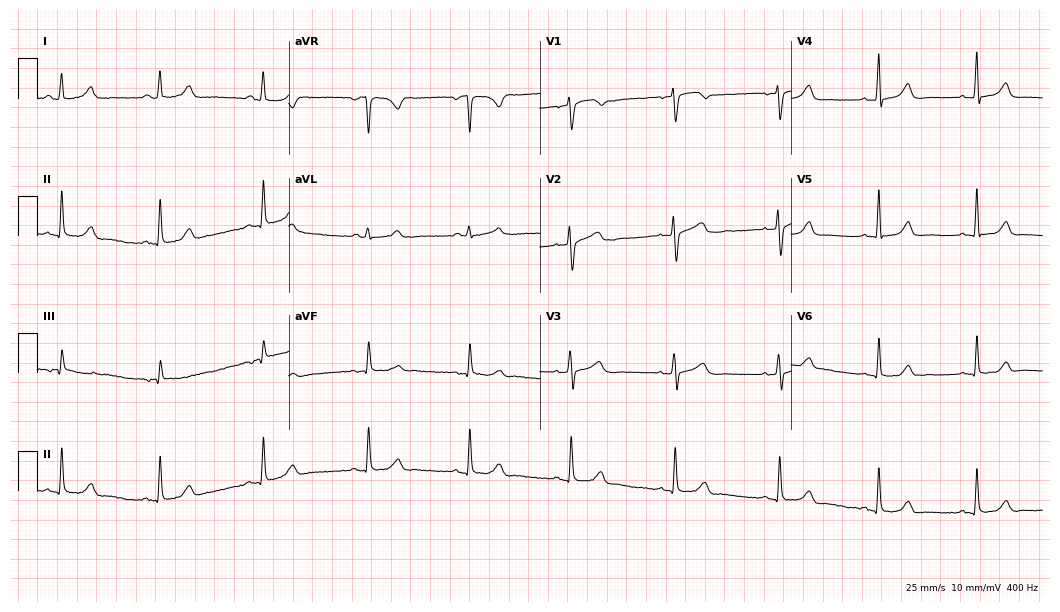
Electrocardiogram, a 52-year-old woman. Of the six screened findings (first-degree AV block, right bundle branch block (RBBB), left bundle branch block (LBBB), sinus bradycardia, atrial fibrillation (AF), sinus tachycardia), none is recorded. Only these six findings were labelled.